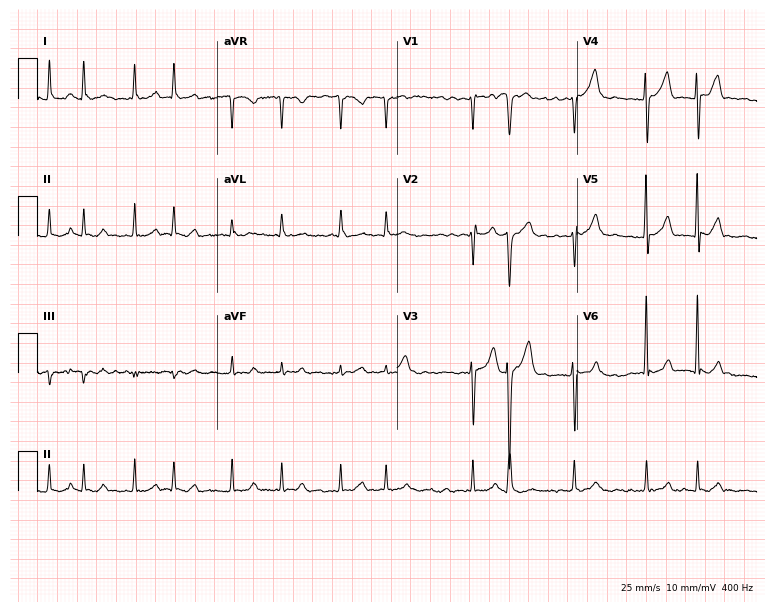
Resting 12-lead electrocardiogram. Patient: a 59-year-old male. The tracing shows atrial fibrillation (AF).